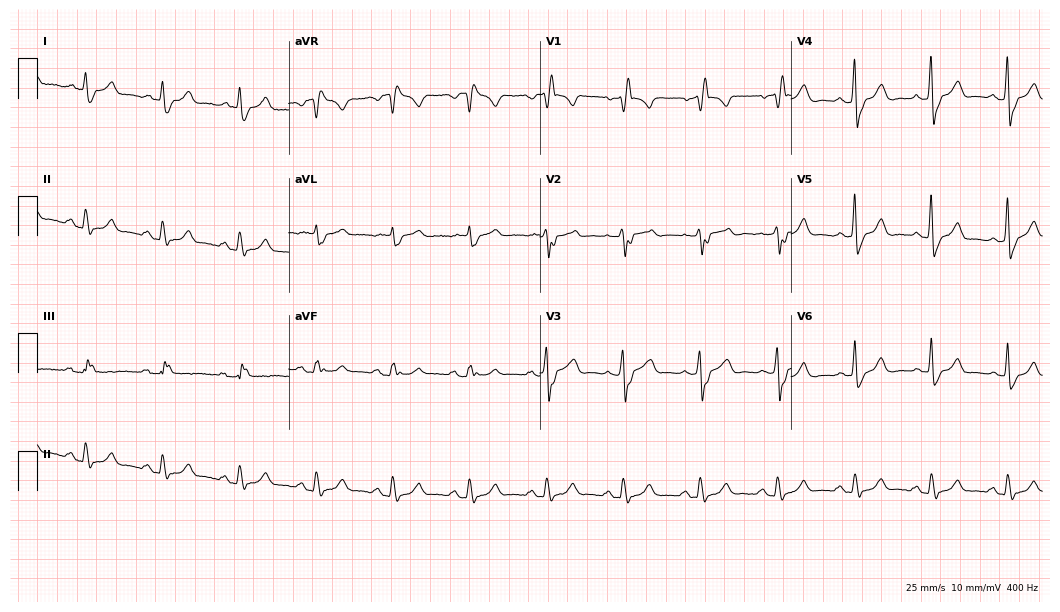
Electrocardiogram (10.2-second recording at 400 Hz), a male patient, 73 years old. Interpretation includes right bundle branch block.